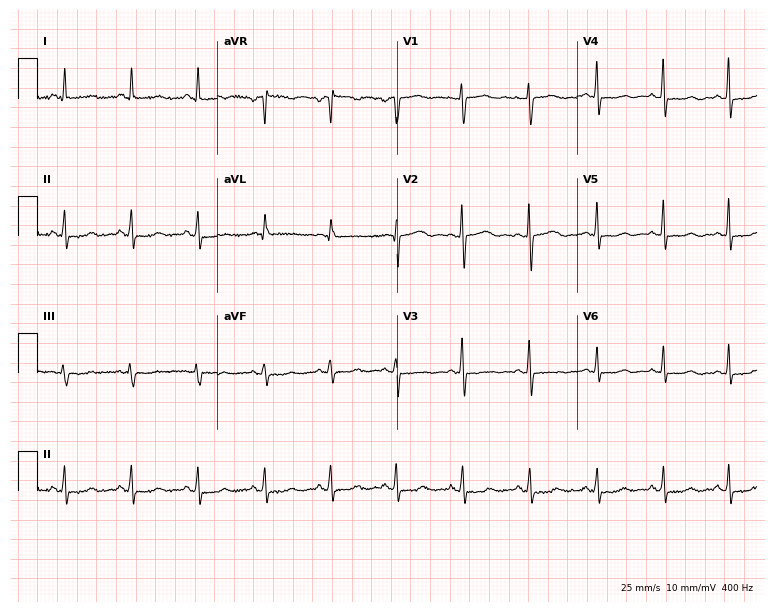
Resting 12-lead electrocardiogram (7.3-second recording at 400 Hz). Patient: a 68-year-old female. None of these six findings is recorded: first-degree AV block, right bundle branch block (RBBB), left bundle branch block (LBBB), sinus bradycardia, atrial fibrillation (AF), sinus tachycardia. Only these six findings were labelled.